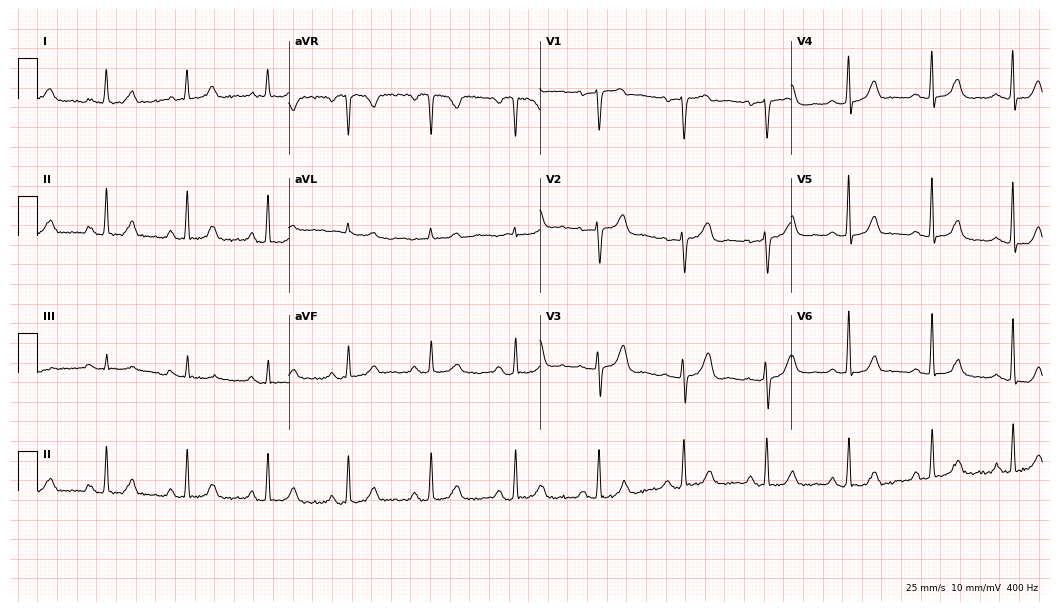
12-lead ECG from a female, 63 years old (10.2-second recording at 400 Hz). No first-degree AV block, right bundle branch block, left bundle branch block, sinus bradycardia, atrial fibrillation or sinus tachycardia recorded for this tracing. Other findings, if any, are not listed.